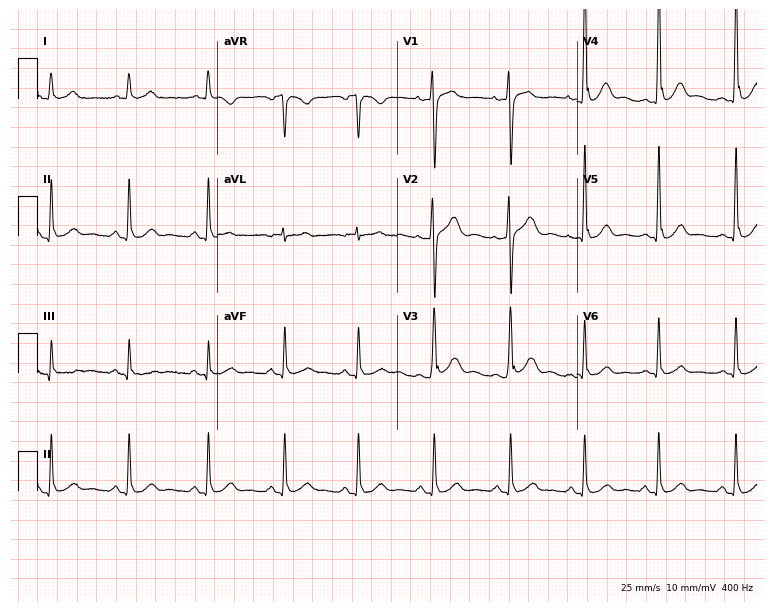
12-lead ECG from a 29-year-old male. No first-degree AV block, right bundle branch block, left bundle branch block, sinus bradycardia, atrial fibrillation or sinus tachycardia recorded for this tracing. Other findings, if any, are not listed.